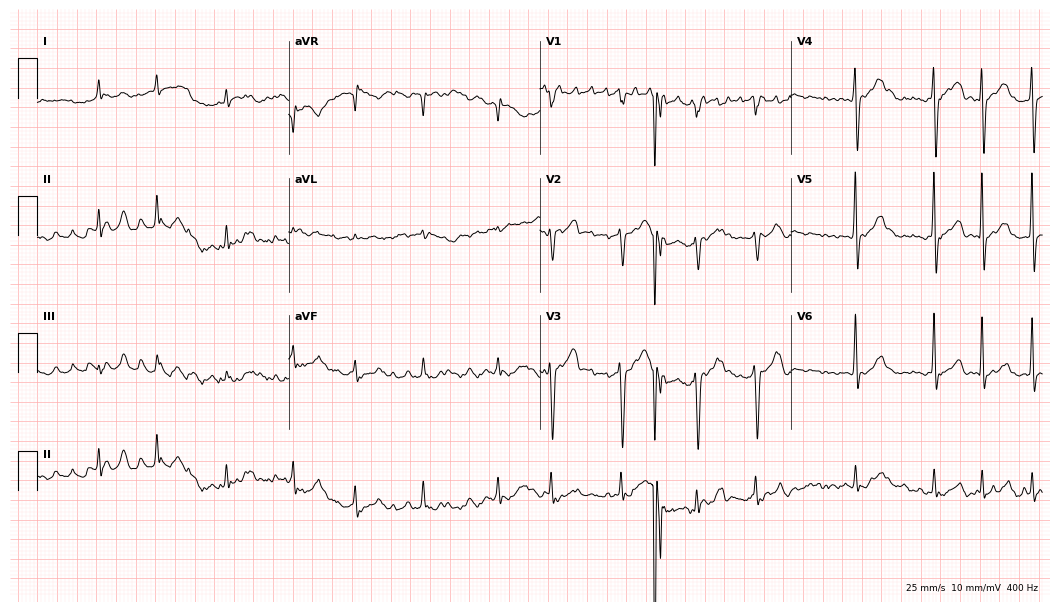
Resting 12-lead electrocardiogram (10.2-second recording at 400 Hz). Patient: a male, 79 years old. The tracing shows atrial fibrillation.